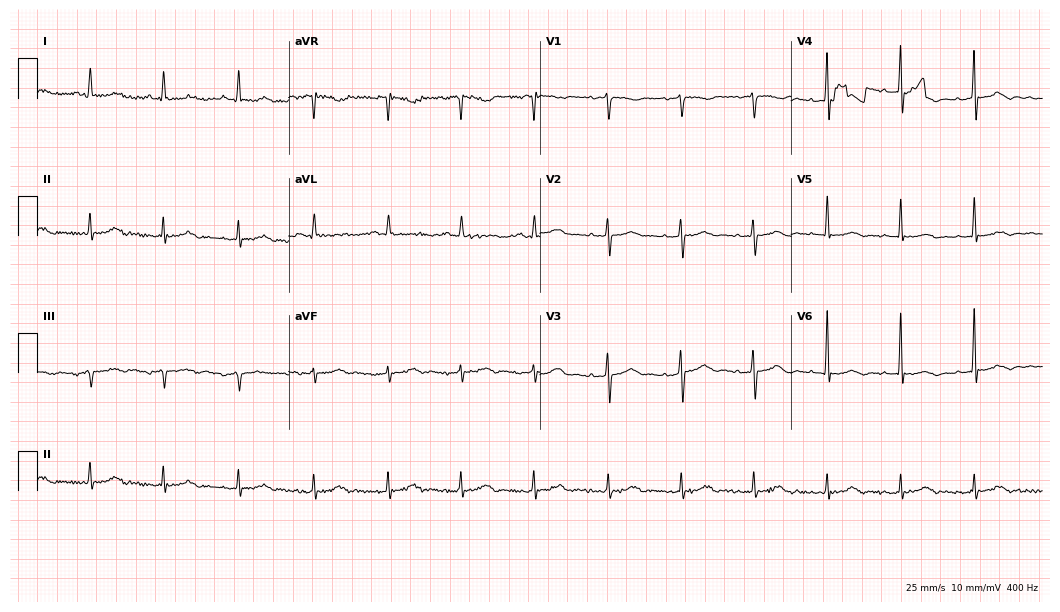
12-lead ECG from a female patient, 81 years old. No first-degree AV block, right bundle branch block, left bundle branch block, sinus bradycardia, atrial fibrillation or sinus tachycardia recorded for this tracing.